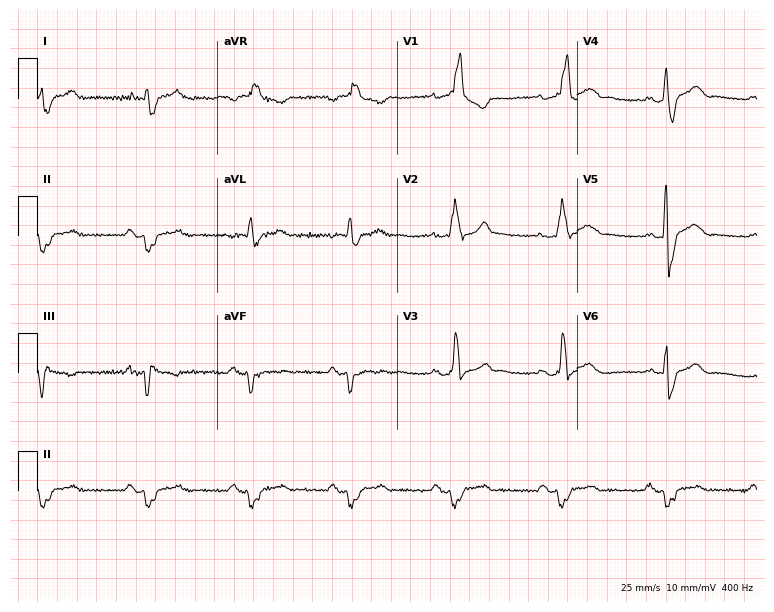
Electrocardiogram, a male patient, 41 years old. Interpretation includes right bundle branch block (RBBB).